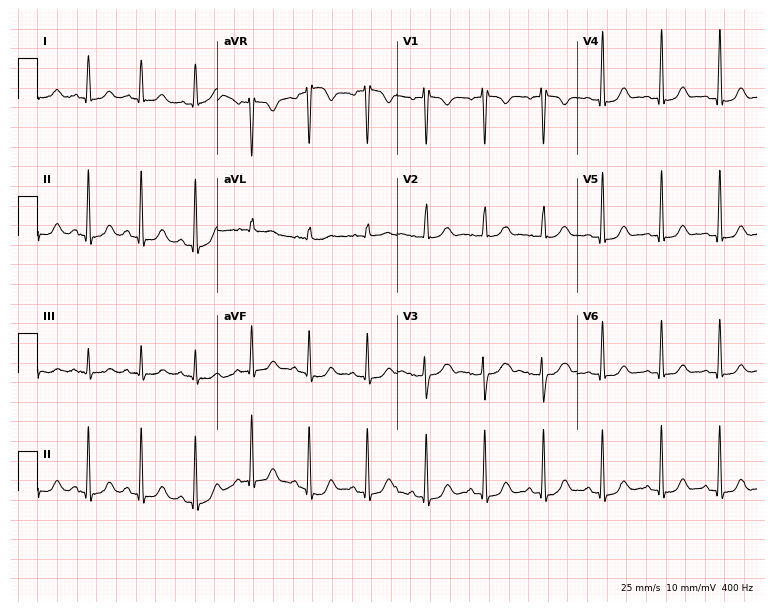
ECG (7.3-second recording at 400 Hz) — a female, 36 years old. Labelled as a normal ECG.